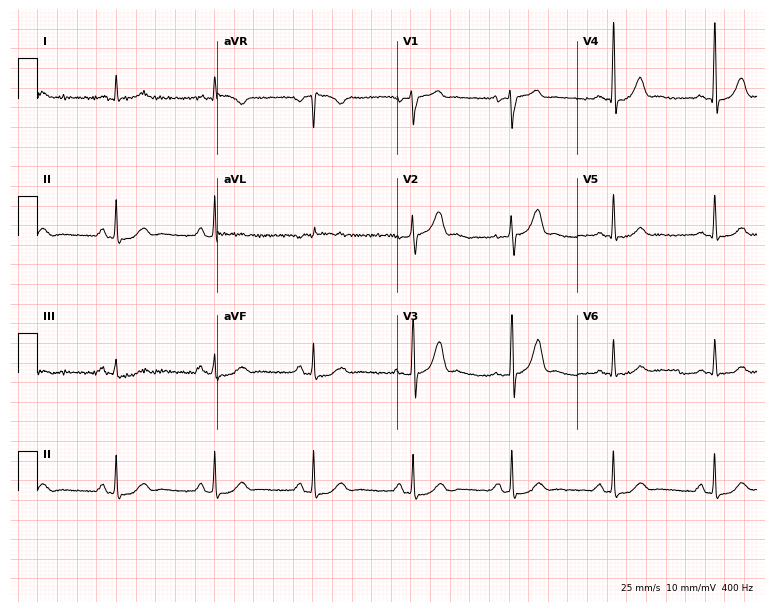
Standard 12-lead ECG recorded from a male patient, 51 years old. Read as a normal ECG.